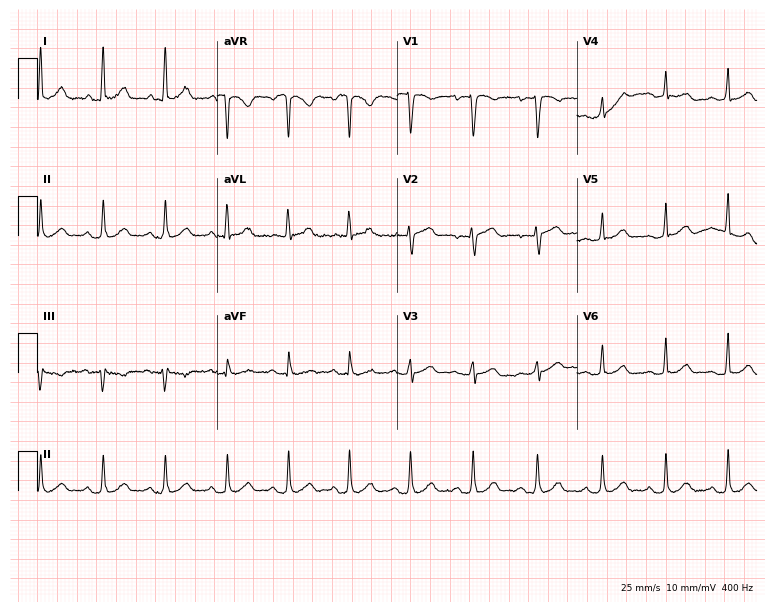
12-lead ECG (7.3-second recording at 400 Hz) from a woman, 32 years old. Labelled as a normal ECG.